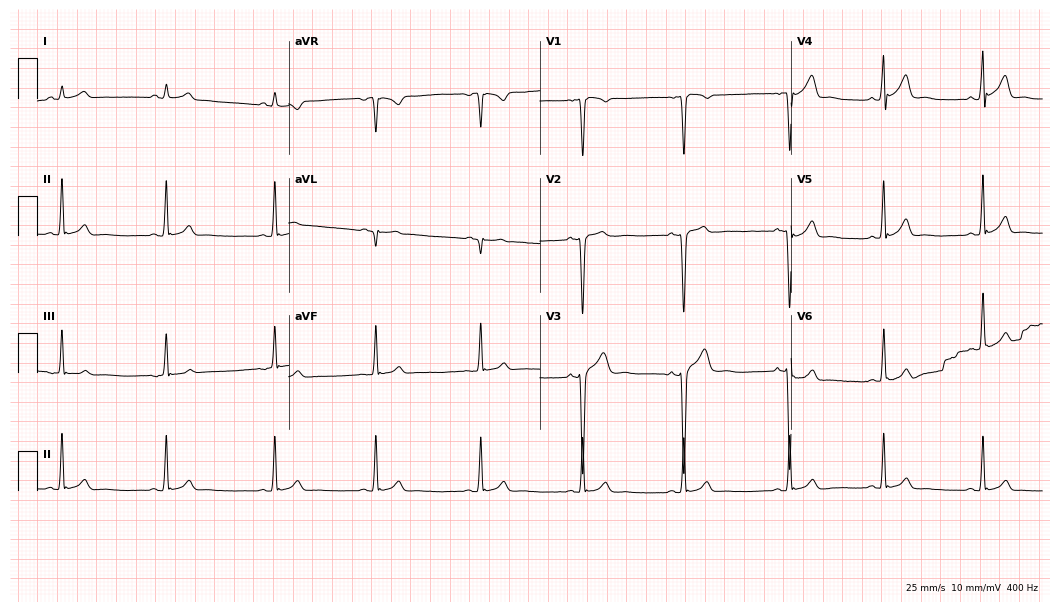
12-lead ECG from an 18-year-old man. No first-degree AV block, right bundle branch block, left bundle branch block, sinus bradycardia, atrial fibrillation or sinus tachycardia recorded for this tracing.